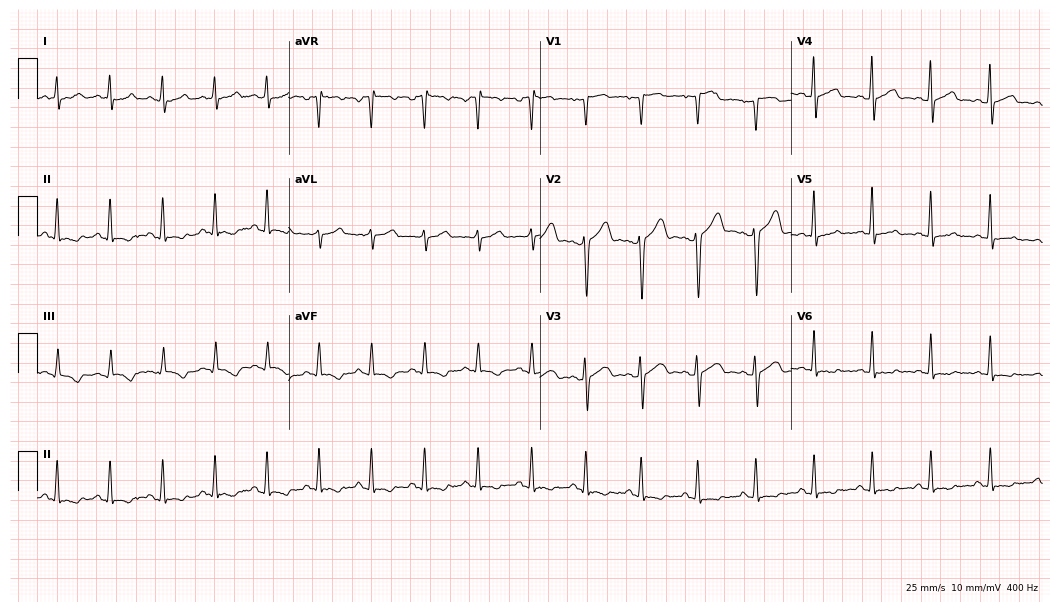
12-lead ECG from a male patient, 33 years old. Shows sinus tachycardia (a sinus rate of 100 beats per minute or more).